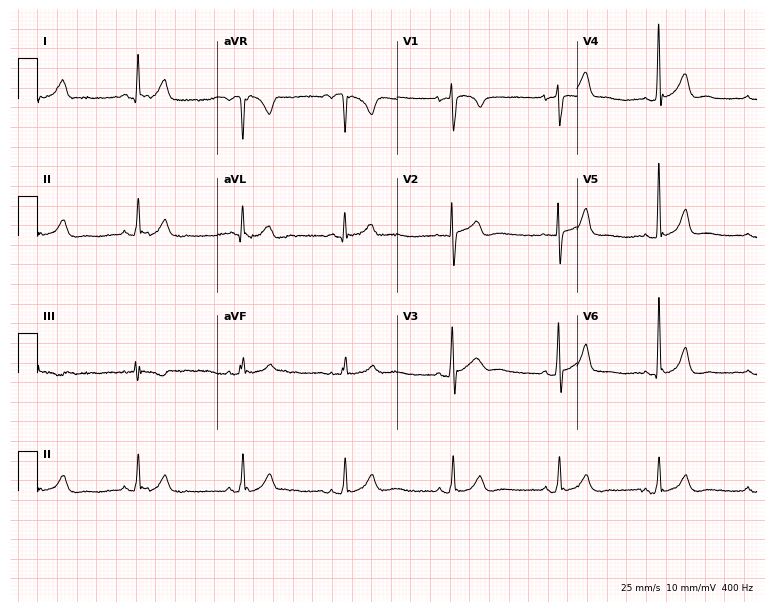
Electrocardiogram (7.3-second recording at 400 Hz), a 26-year-old male patient. Overall reading on record: normal ECG.